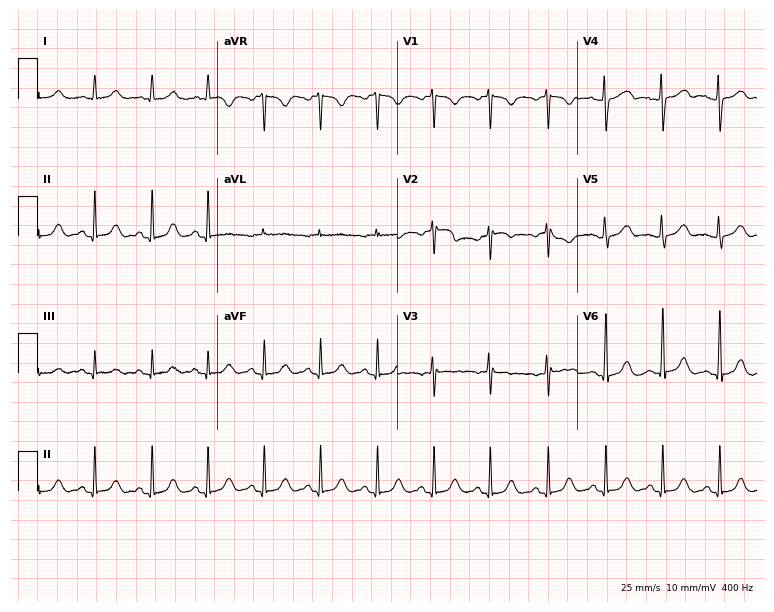
Resting 12-lead electrocardiogram. Patient: a woman, 56 years old. The tracing shows sinus tachycardia (a sinus rate of 100 beats per minute or more).